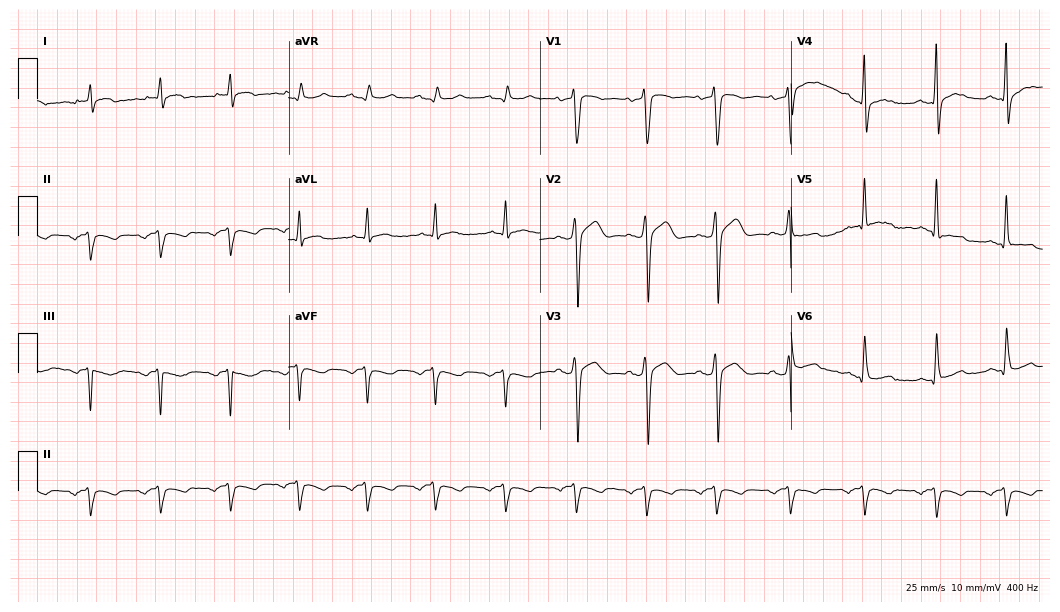
ECG — a 55-year-old male. Screened for six findings — first-degree AV block, right bundle branch block (RBBB), left bundle branch block (LBBB), sinus bradycardia, atrial fibrillation (AF), sinus tachycardia — none is recorded.